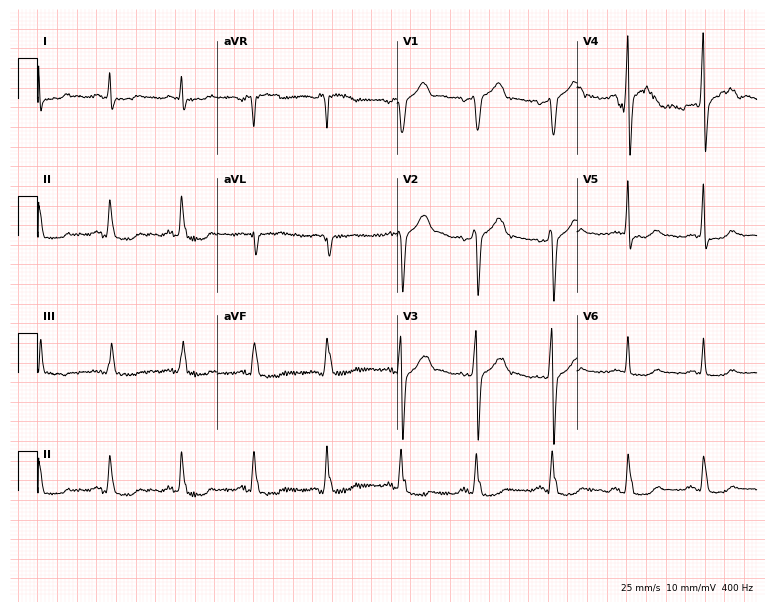
12-lead ECG from a male, 65 years old. No first-degree AV block, right bundle branch block (RBBB), left bundle branch block (LBBB), sinus bradycardia, atrial fibrillation (AF) or sinus tachycardia recorded for this tracing.